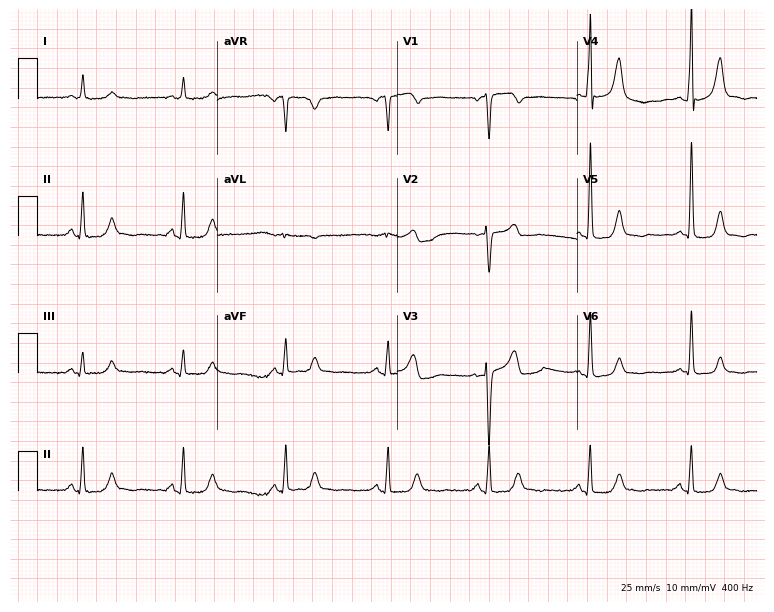
Standard 12-lead ECG recorded from a 67-year-old female patient. None of these six findings is recorded: first-degree AV block, right bundle branch block, left bundle branch block, sinus bradycardia, atrial fibrillation, sinus tachycardia. Findings outside these six are not listed.